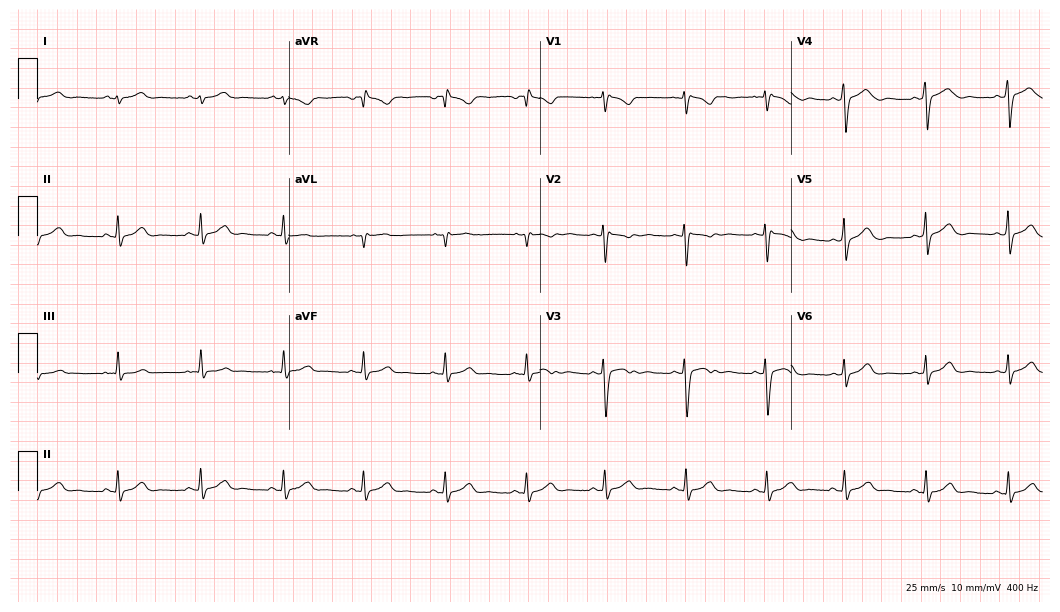
Resting 12-lead electrocardiogram. Patient: a 30-year-old female. Read as a normal ECG.